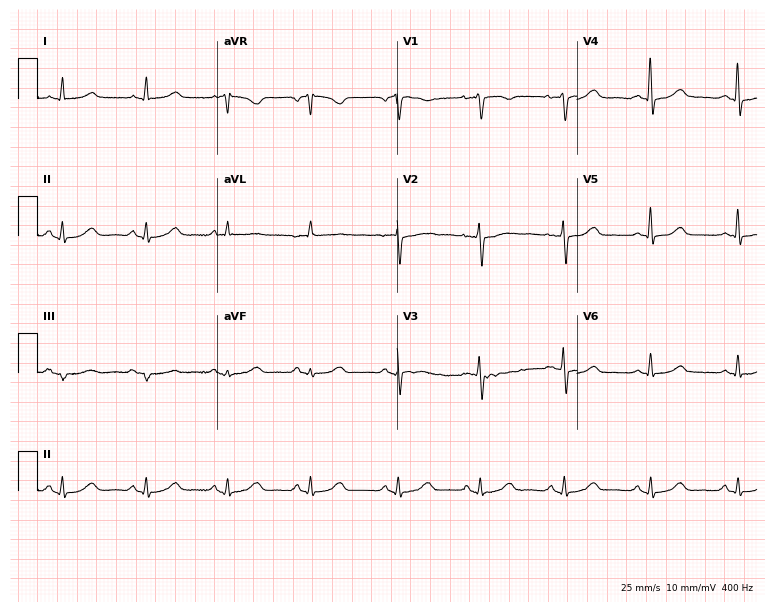
12-lead ECG (7.3-second recording at 400 Hz) from a woman, 69 years old. Labelled as a normal ECG.